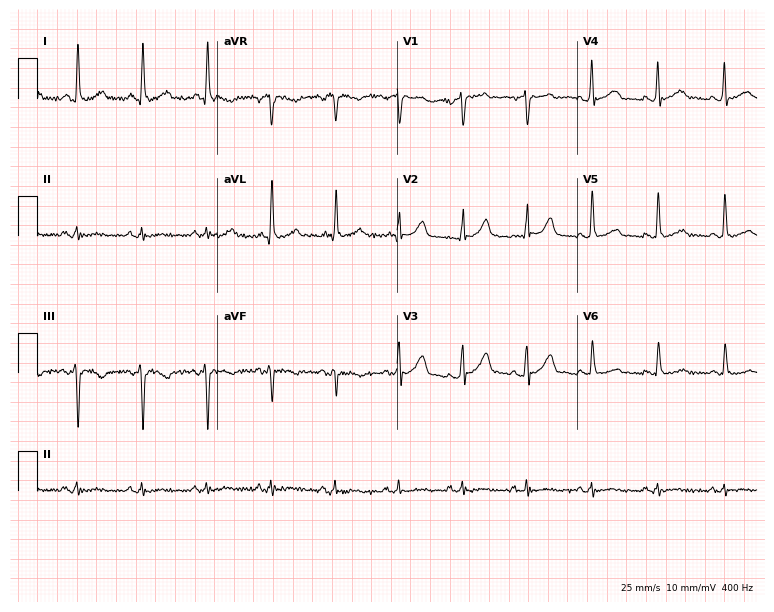
Resting 12-lead electrocardiogram (7.3-second recording at 400 Hz). Patient: a 68-year-old male. Read as a normal ECG.